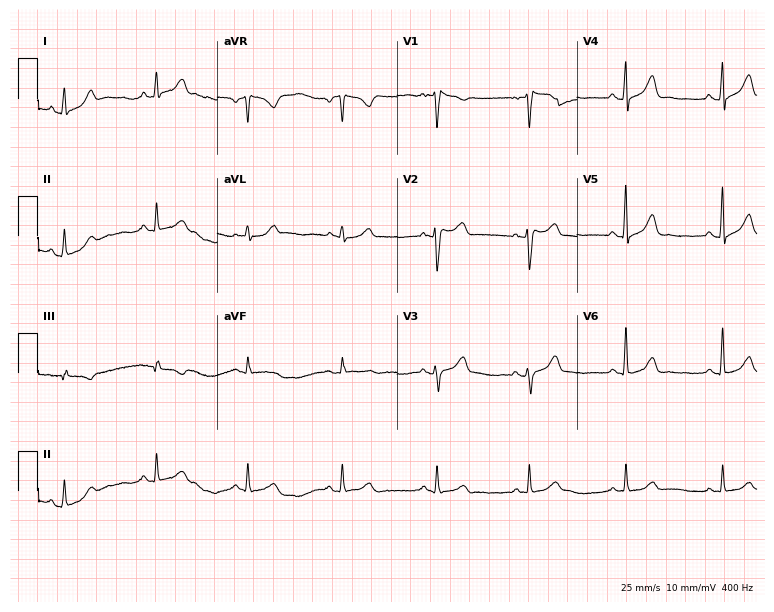
Electrocardiogram (7.3-second recording at 400 Hz), a male, 62 years old. Of the six screened findings (first-degree AV block, right bundle branch block (RBBB), left bundle branch block (LBBB), sinus bradycardia, atrial fibrillation (AF), sinus tachycardia), none is recorded.